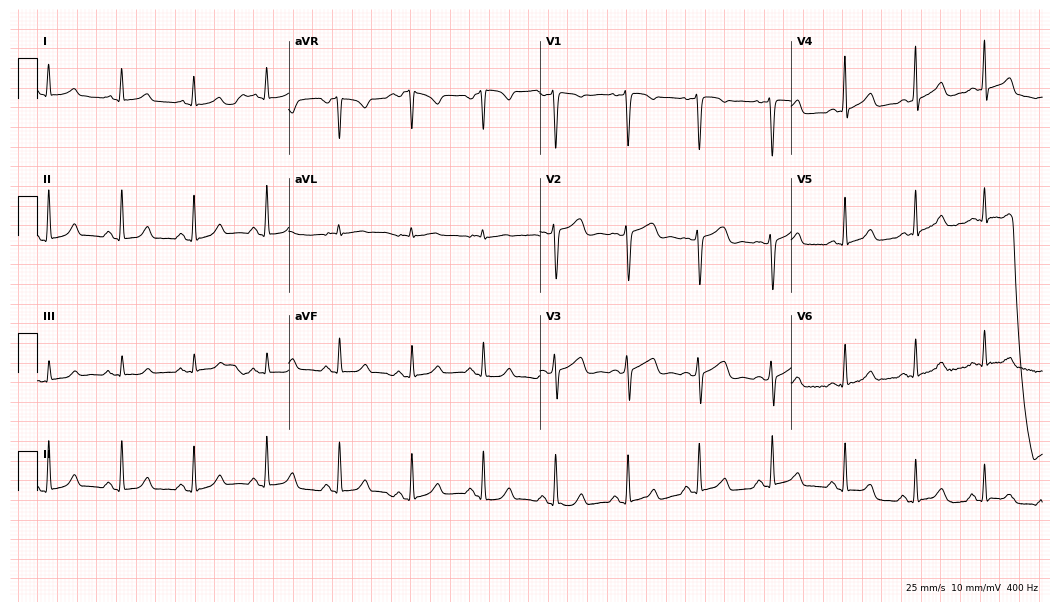
12-lead ECG from a female patient, 32 years old. Recorded interpretation: within normal limits.